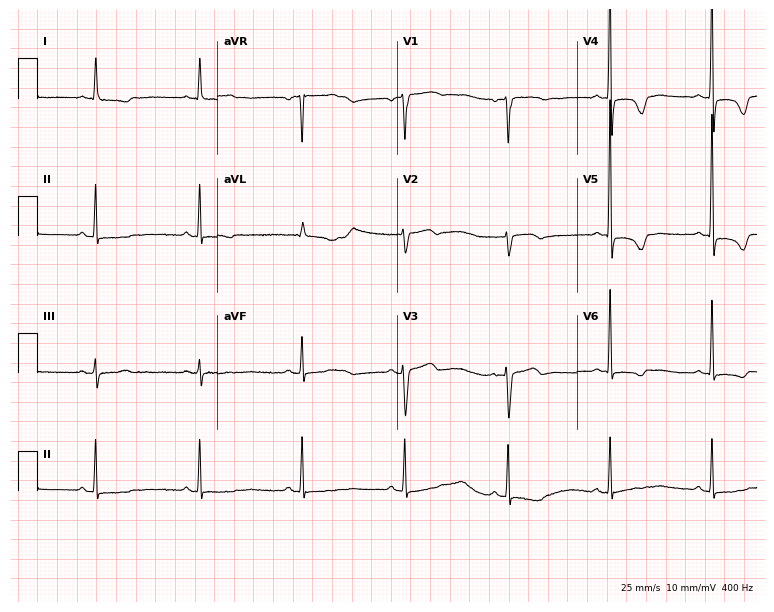
Resting 12-lead electrocardiogram. Patient: a female, 83 years old. None of these six findings is recorded: first-degree AV block, right bundle branch block (RBBB), left bundle branch block (LBBB), sinus bradycardia, atrial fibrillation (AF), sinus tachycardia.